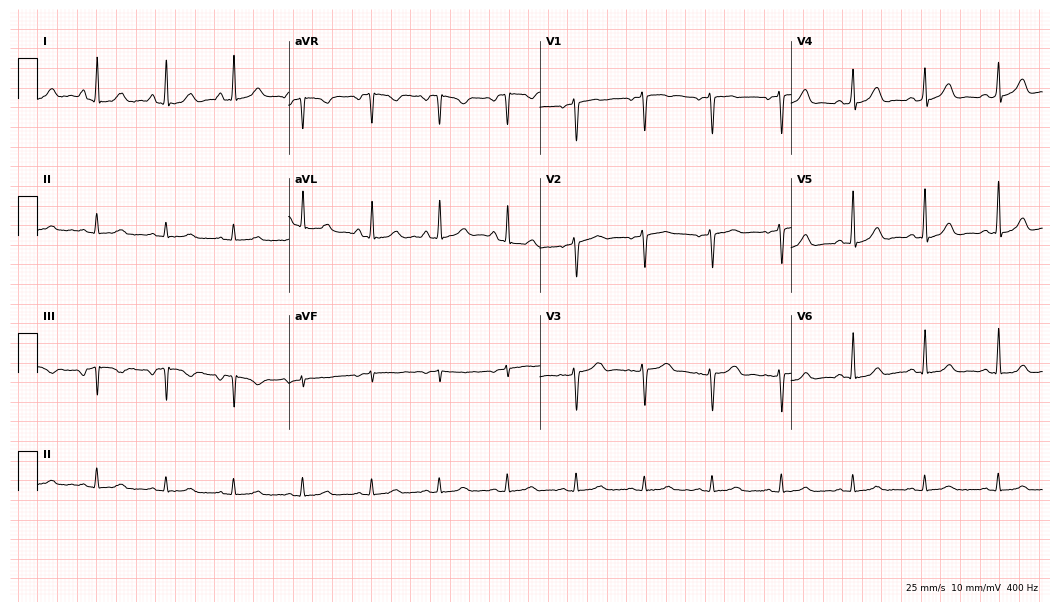
Electrocardiogram, a 45-year-old female. Of the six screened findings (first-degree AV block, right bundle branch block, left bundle branch block, sinus bradycardia, atrial fibrillation, sinus tachycardia), none is recorded. Only these six findings were labelled.